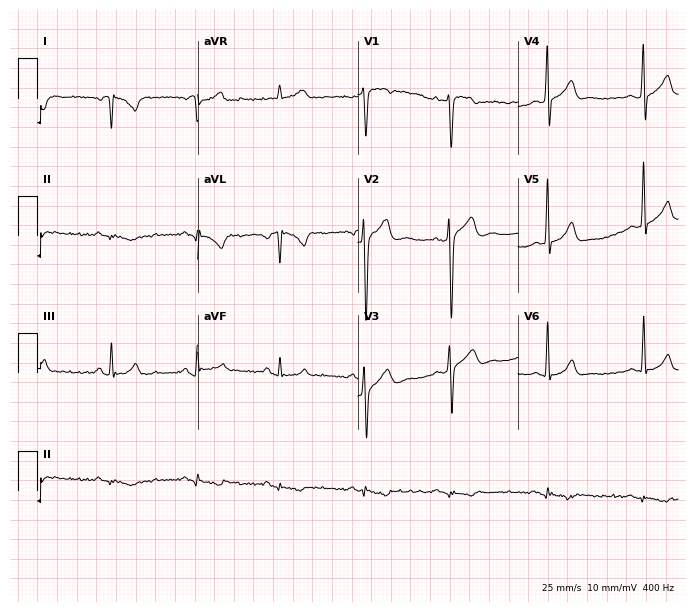
Standard 12-lead ECG recorded from a 24-year-old male. None of these six findings is recorded: first-degree AV block, right bundle branch block, left bundle branch block, sinus bradycardia, atrial fibrillation, sinus tachycardia. Other findings, if any, are not listed.